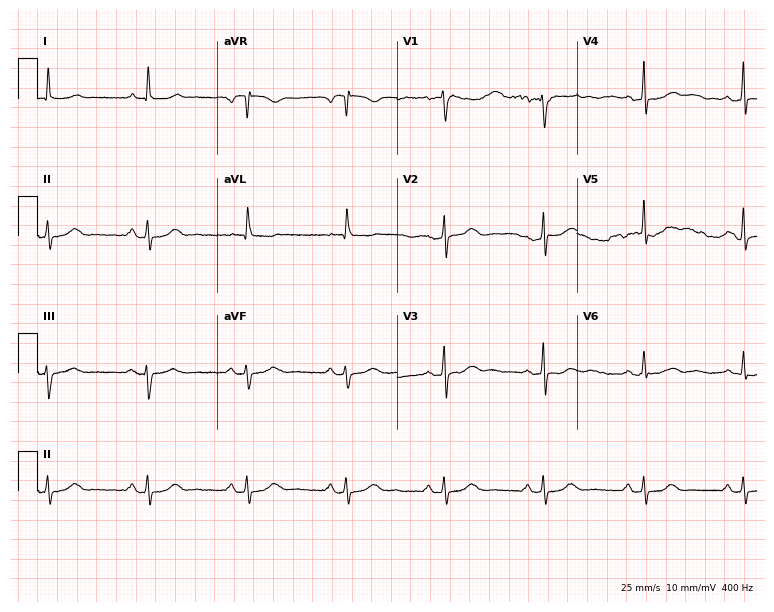
Resting 12-lead electrocardiogram (7.3-second recording at 400 Hz). Patient: a 64-year-old female. Read as a normal ECG.